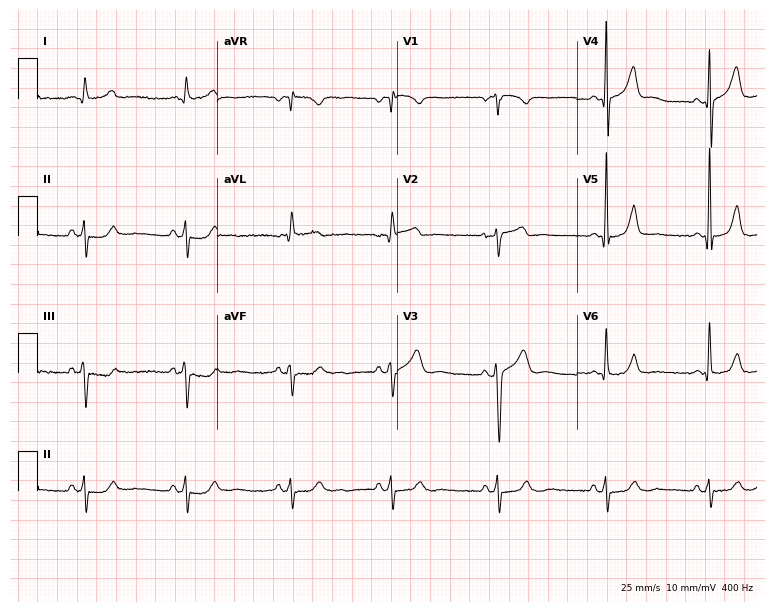
12-lead ECG from a male patient, 61 years old (7.3-second recording at 400 Hz). No first-degree AV block, right bundle branch block, left bundle branch block, sinus bradycardia, atrial fibrillation or sinus tachycardia recorded for this tracing.